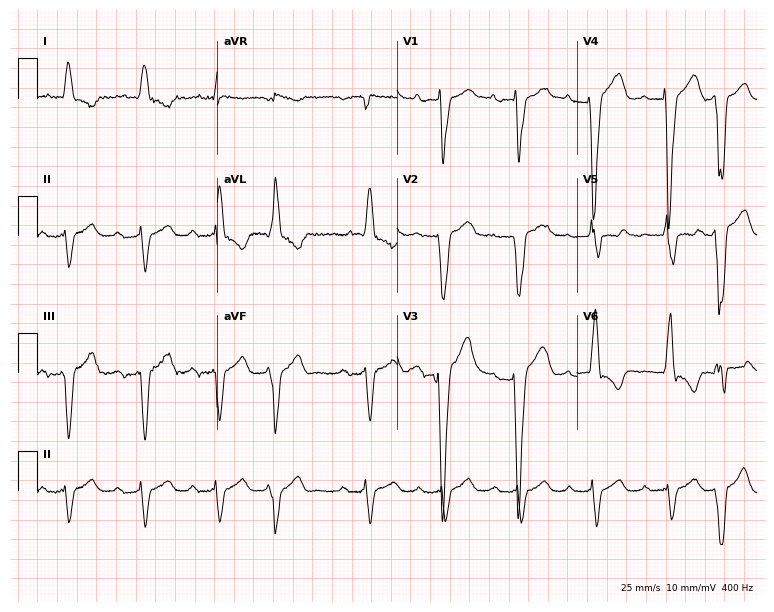
Standard 12-lead ECG recorded from a 75-year-old male patient (7.3-second recording at 400 Hz). The tracing shows first-degree AV block, left bundle branch block.